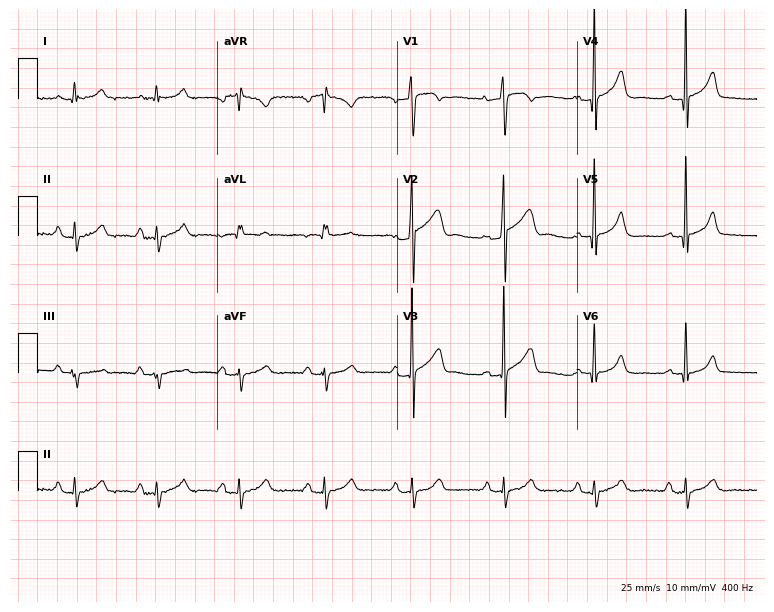
Standard 12-lead ECG recorded from a 52-year-old male patient (7.3-second recording at 400 Hz). None of these six findings is recorded: first-degree AV block, right bundle branch block, left bundle branch block, sinus bradycardia, atrial fibrillation, sinus tachycardia.